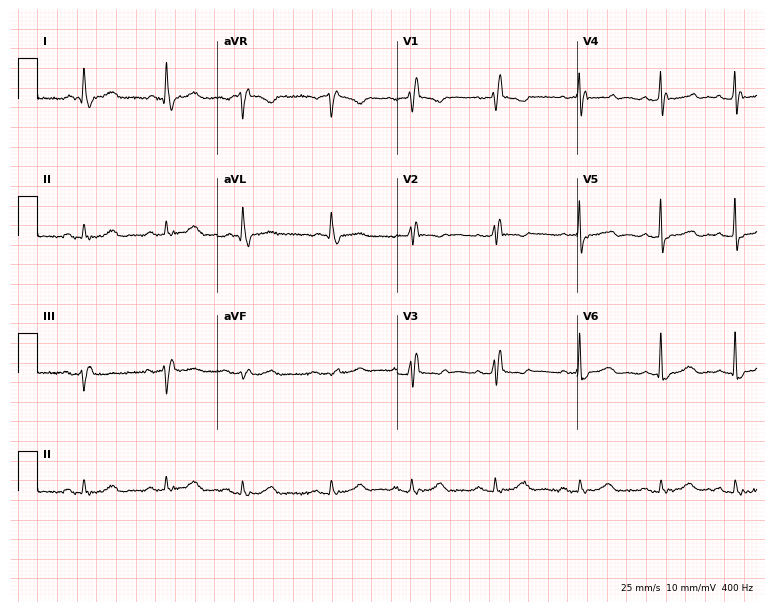
ECG — a 67-year-old woman. Findings include right bundle branch block.